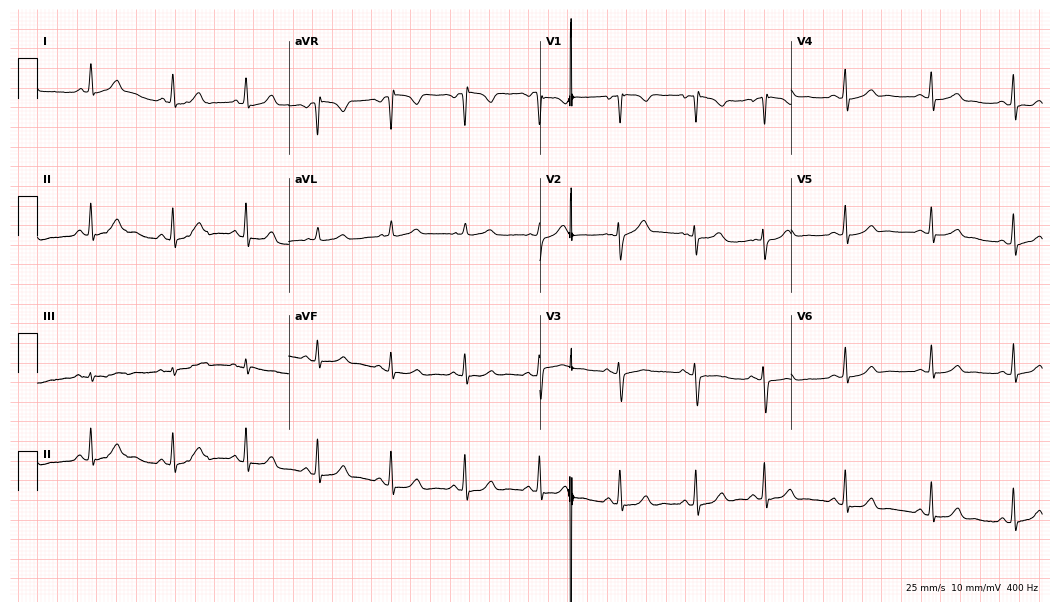
ECG — a female, 26 years old. Labelled as a normal ECG.